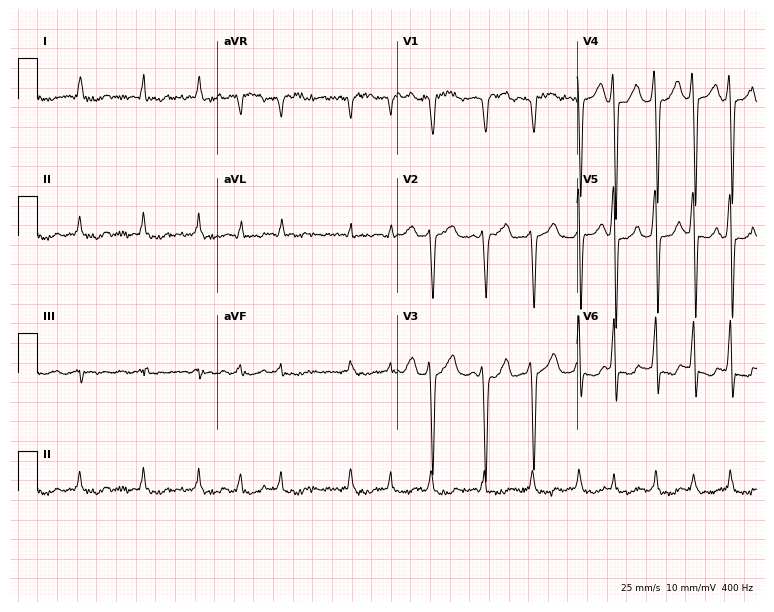
Resting 12-lead electrocardiogram. Patient: a male, 62 years old. The tracing shows atrial fibrillation.